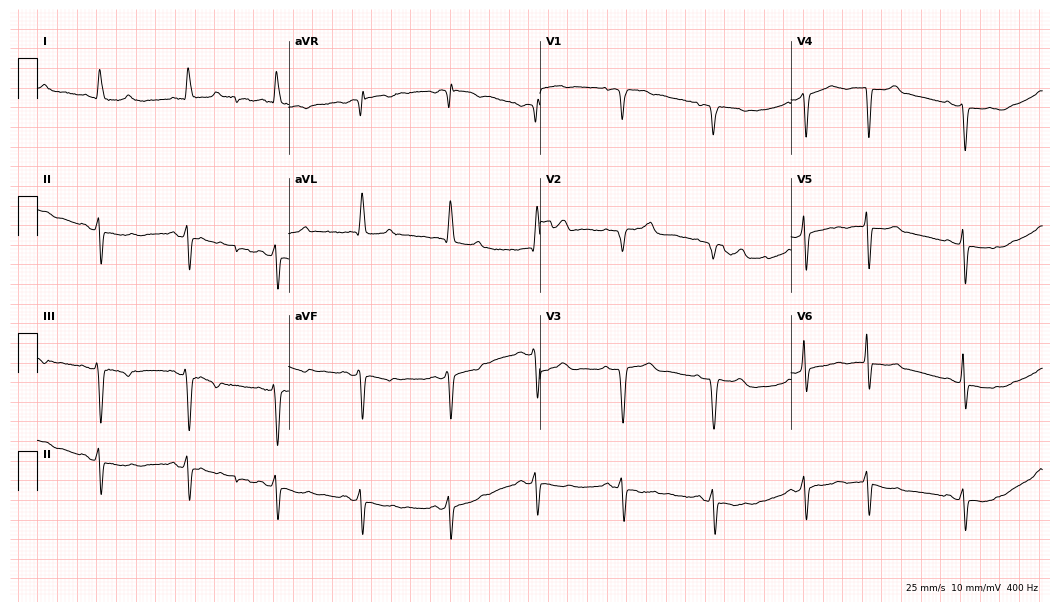
12-lead ECG from a woman, 73 years old. Screened for six findings — first-degree AV block, right bundle branch block, left bundle branch block, sinus bradycardia, atrial fibrillation, sinus tachycardia — none is recorded.